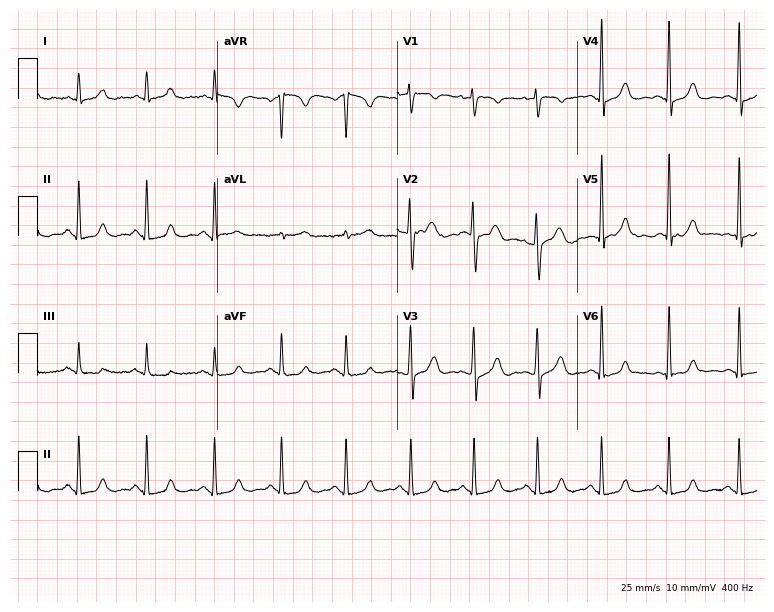
12-lead ECG from a 55-year-old female patient. Screened for six findings — first-degree AV block, right bundle branch block, left bundle branch block, sinus bradycardia, atrial fibrillation, sinus tachycardia — none is recorded. Only these six findings were labelled.